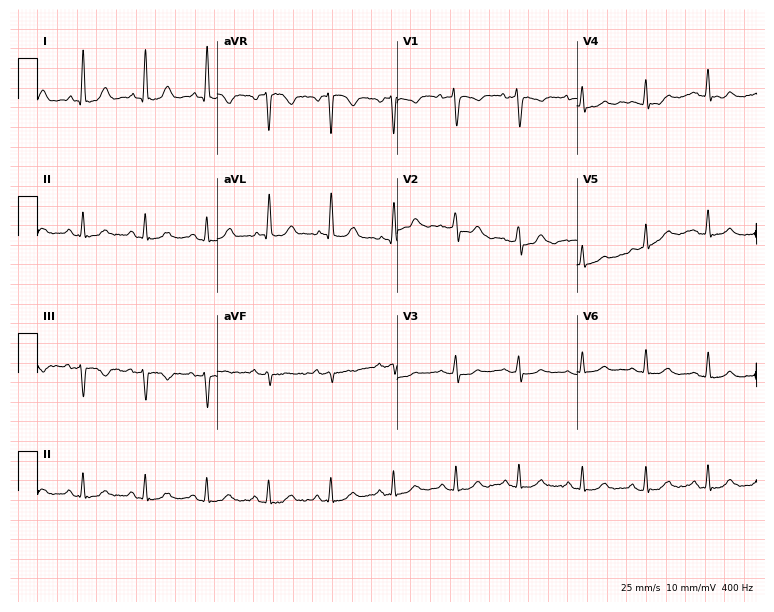
Standard 12-lead ECG recorded from a 48-year-old female patient. None of these six findings is recorded: first-degree AV block, right bundle branch block, left bundle branch block, sinus bradycardia, atrial fibrillation, sinus tachycardia. Only these six findings were labelled.